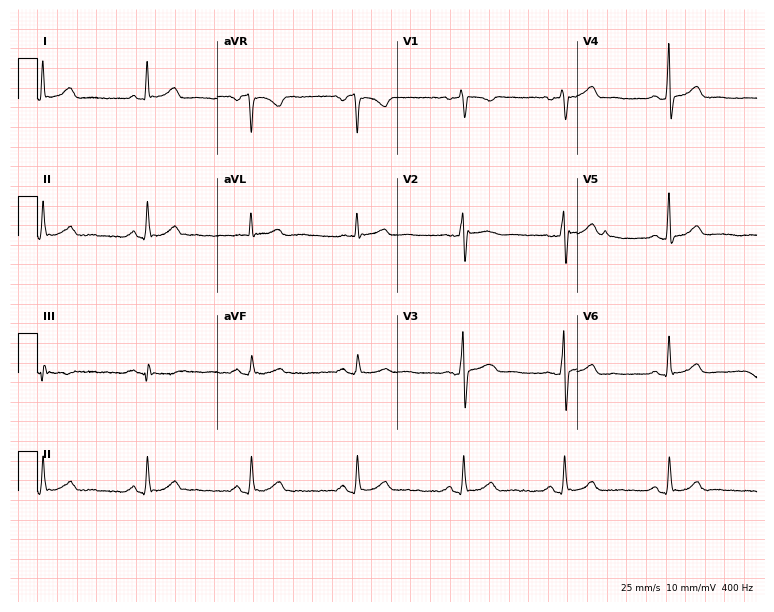
Standard 12-lead ECG recorded from a female, 46 years old. None of these six findings is recorded: first-degree AV block, right bundle branch block (RBBB), left bundle branch block (LBBB), sinus bradycardia, atrial fibrillation (AF), sinus tachycardia.